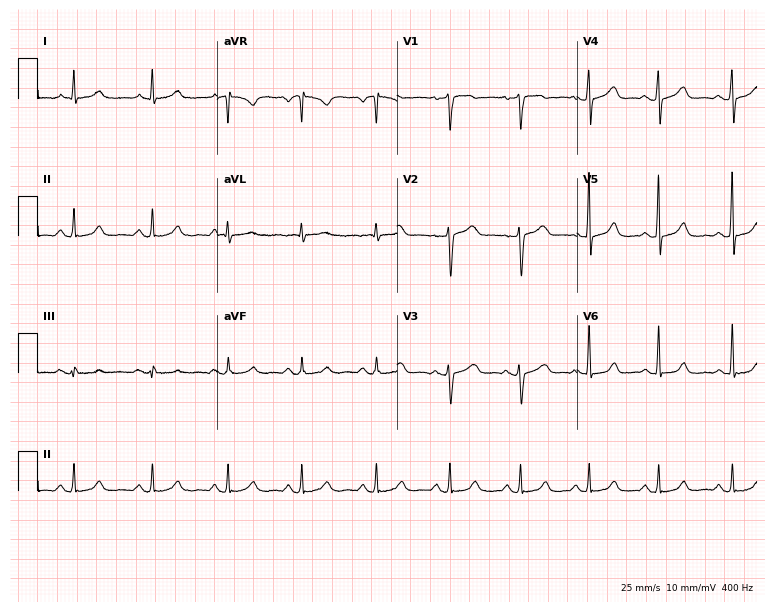
12-lead ECG from a woman, 43 years old (7.3-second recording at 400 Hz). Recorded interpretation: within normal limits.